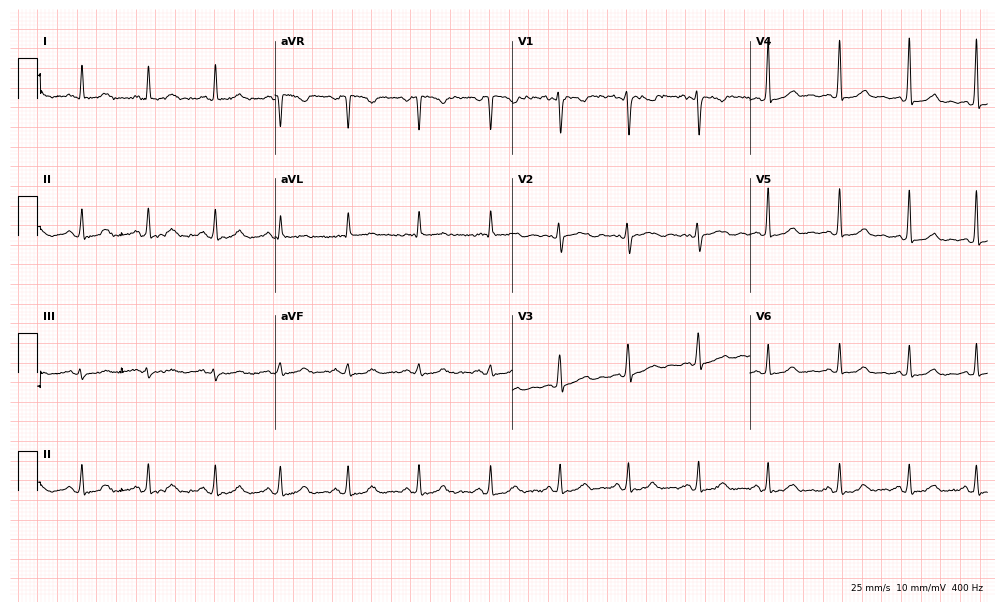
12-lead ECG (9.7-second recording at 400 Hz) from a woman, 35 years old. Labelled as a normal ECG.